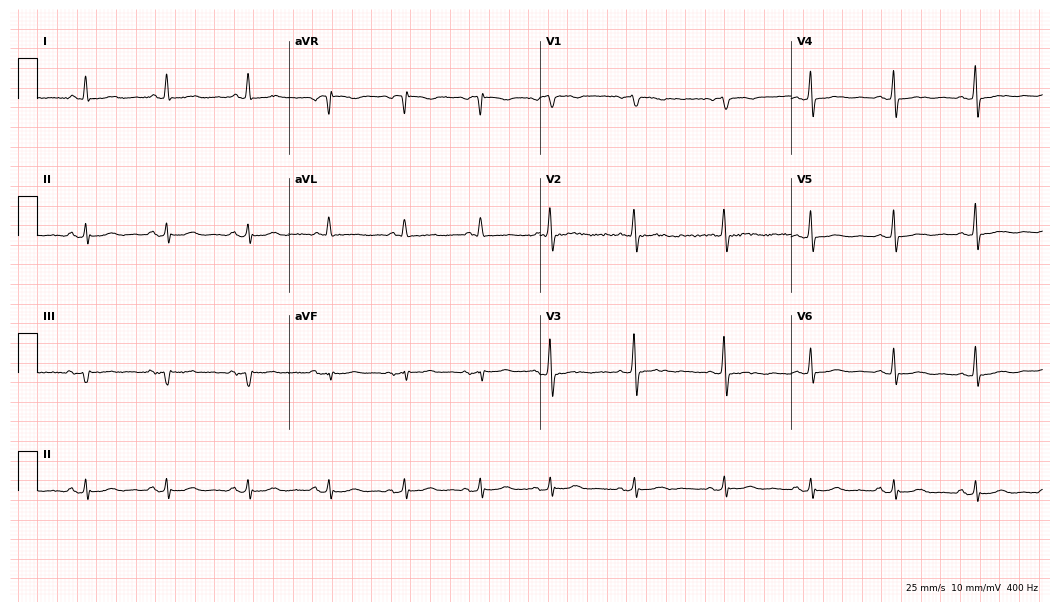
Standard 12-lead ECG recorded from a female patient, 79 years old (10.2-second recording at 400 Hz). None of these six findings is recorded: first-degree AV block, right bundle branch block (RBBB), left bundle branch block (LBBB), sinus bradycardia, atrial fibrillation (AF), sinus tachycardia. Findings outside these six are not listed.